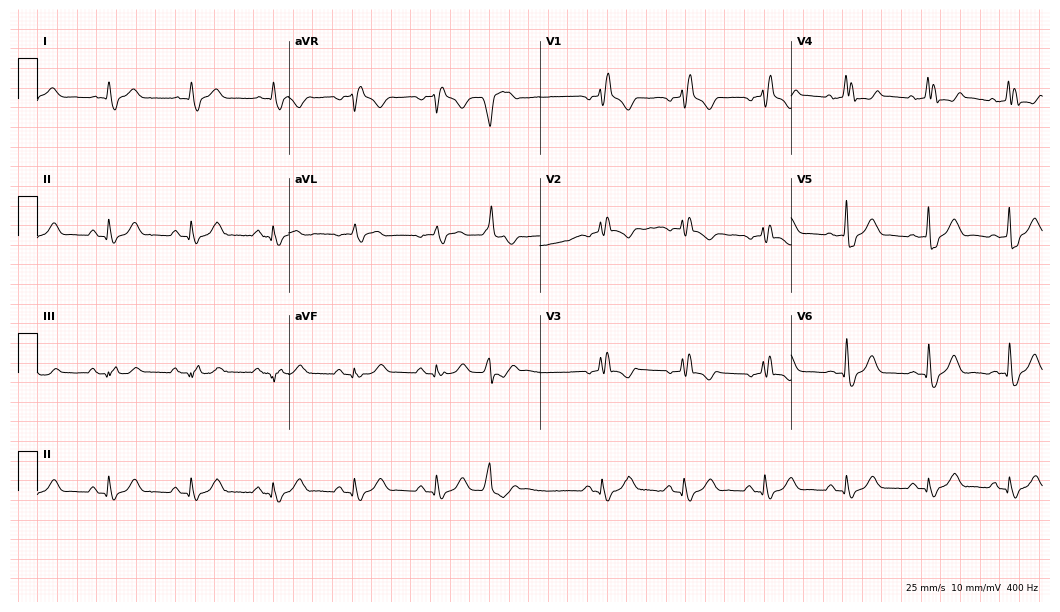
Resting 12-lead electrocardiogram. Patient: an 80-year-old male. The tracing shows right bundle branch block (RBBB).